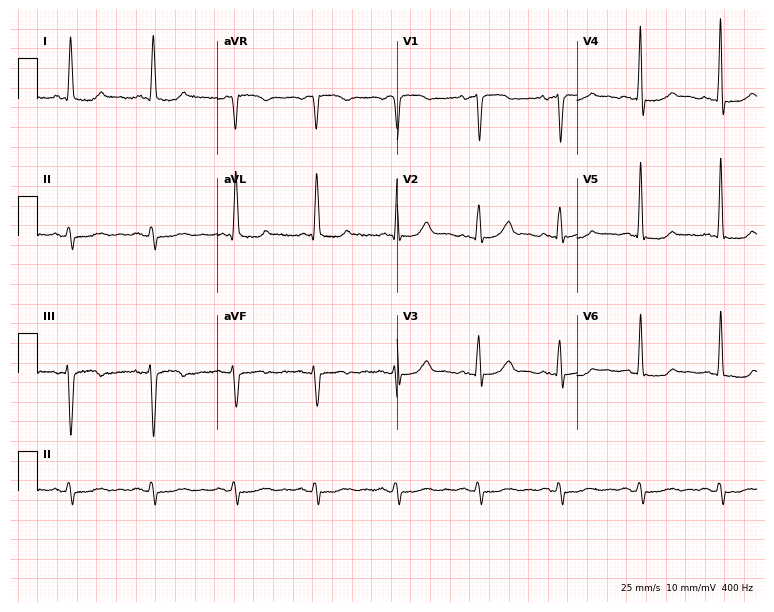
Resting 12-lead electrocardiogram (7.3-second recording at 400 Hz). Patient: a female, 77 years old. None of these six findings is recorded: first-degree AV block, right bundle branch block, left bundle branch block, sinus bradycardia, atrial fibrillation, sinus tachycardia. Only these six findings were labelled.